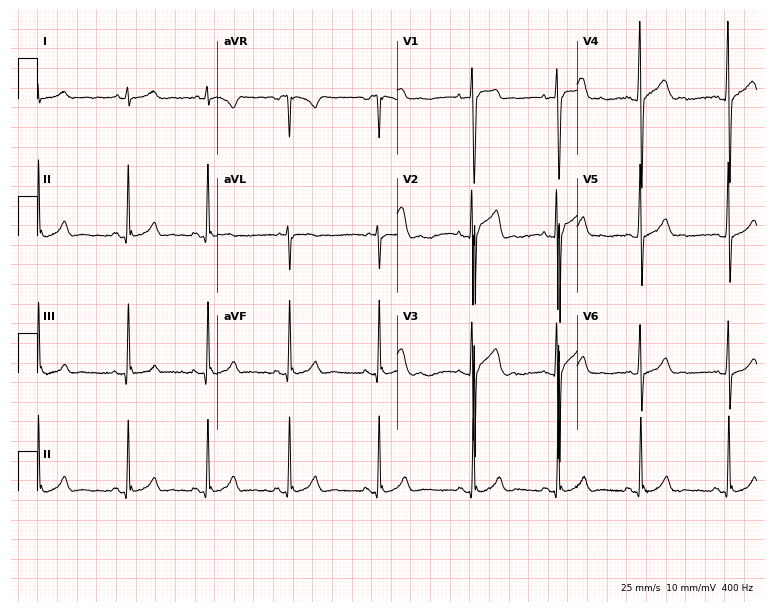
12-lead ECG (7.3-second recording at 400 Hz) from a male, 17 years old. Screened for six findings — first-degree AV block, right bundle branch block, left bundle branch block, sinus bradycardia, atrial fibrillation, sinus tachycardia — none is recorded. Only these six findings were labelled.